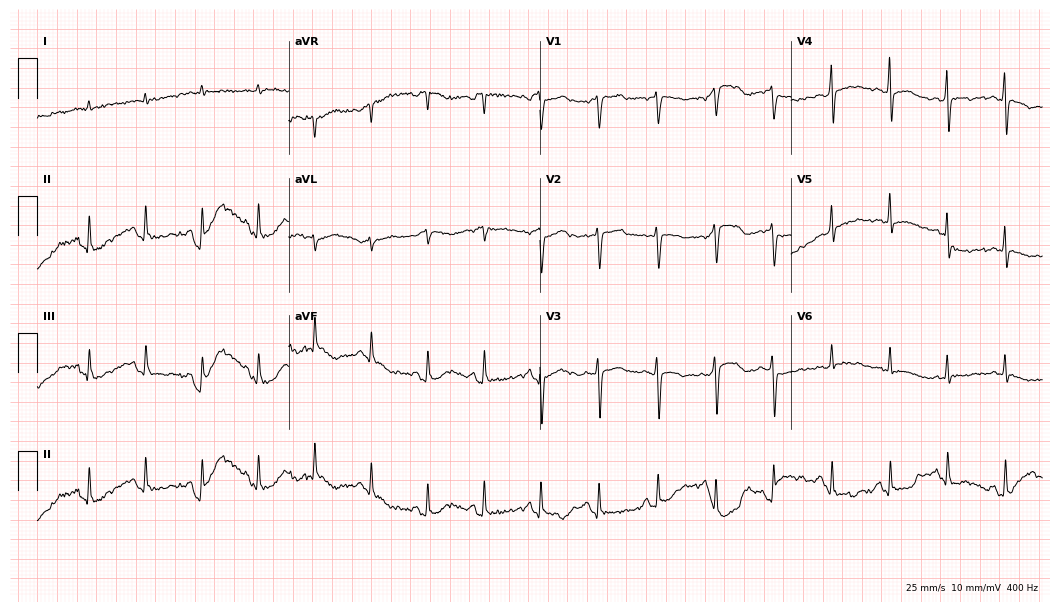
Electrocardiogram, a 75-year-old male patient. Of the six screened findings (first-degree AV block, right bundle branch block, left bundle branch block, sinus bradycardia, atrial fibrillation, sinus tachycardia), none is recorded.